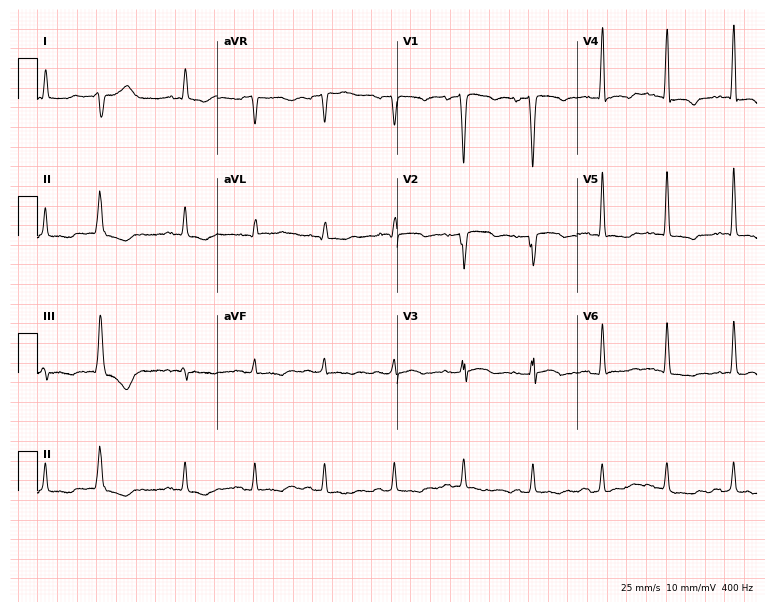
12-lead ECG from a male patient, 71 years old (7.3-second recording at 400 Hz). No first-degree AV block, right bundle branch block, left bundle branch block, sinus bradycardia, atrial fibrillation or sinus tachycardia recorded for this tracing. Findings outside these six are not listed.